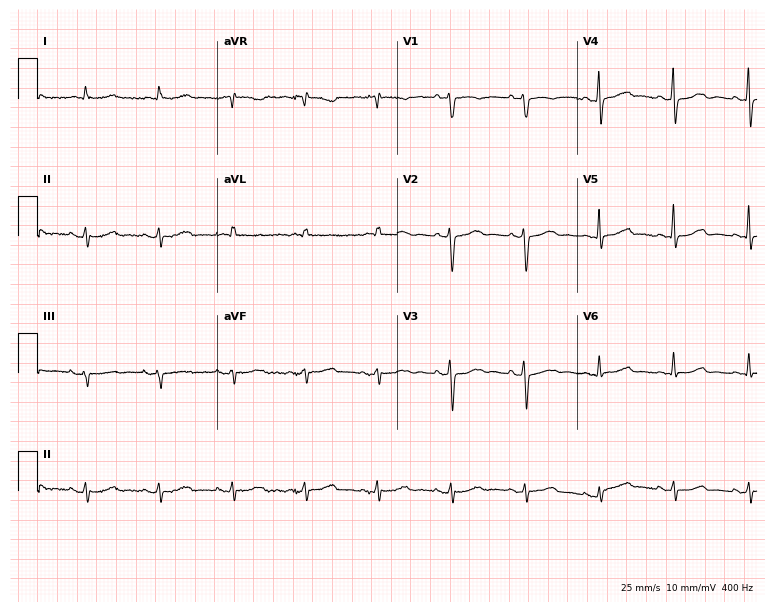
12-lead ECG from a female patient, 82 years old (7.3-second recording at 400 Hz). Recorded interpretation: within normal limits.